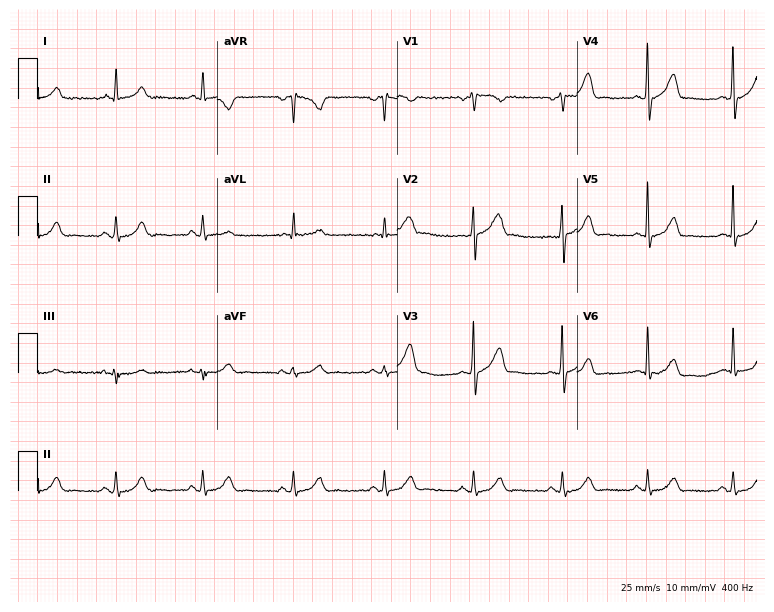
Standard 12-lead ECG recorded from a man, 44 years old (7.3-second recording at 400 Hz). Read as a normal ECG.